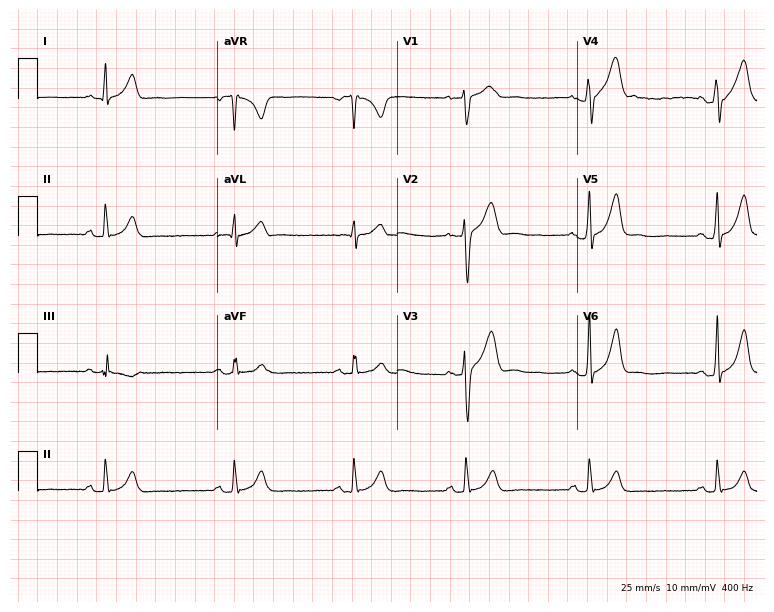
Standard 12-lead ECG recorded from a 30-year-old male (7.3-second recording at 400 Hz). The tracing shows sinus bradycardia (a sinus rate of 50 beats per minute or less).